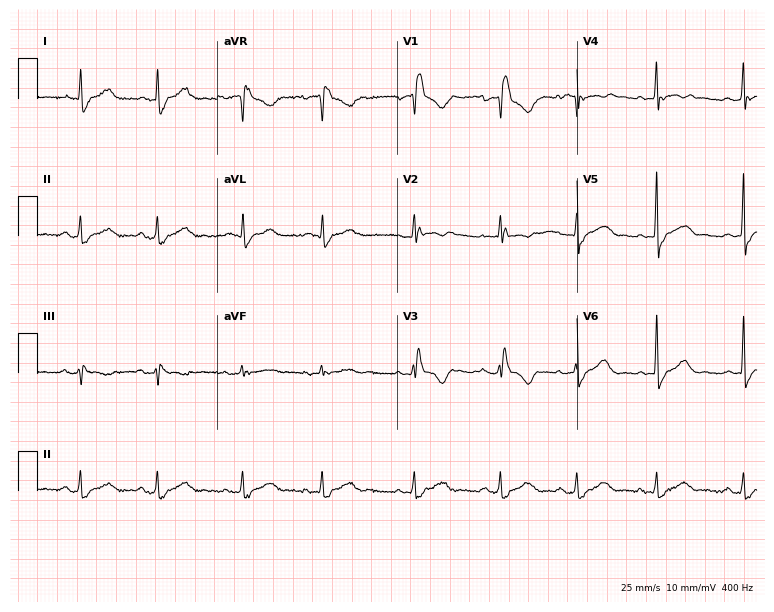
Electrocardiogram, a female patient, 50 years old. Interpretation includes right bundle branch block.